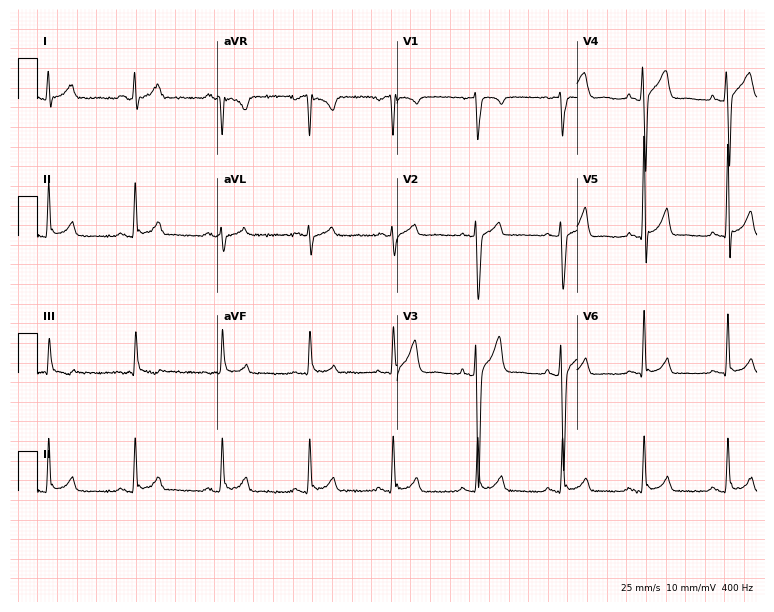
ECG — a male, 35 years old. Labelled as a normal ECG.